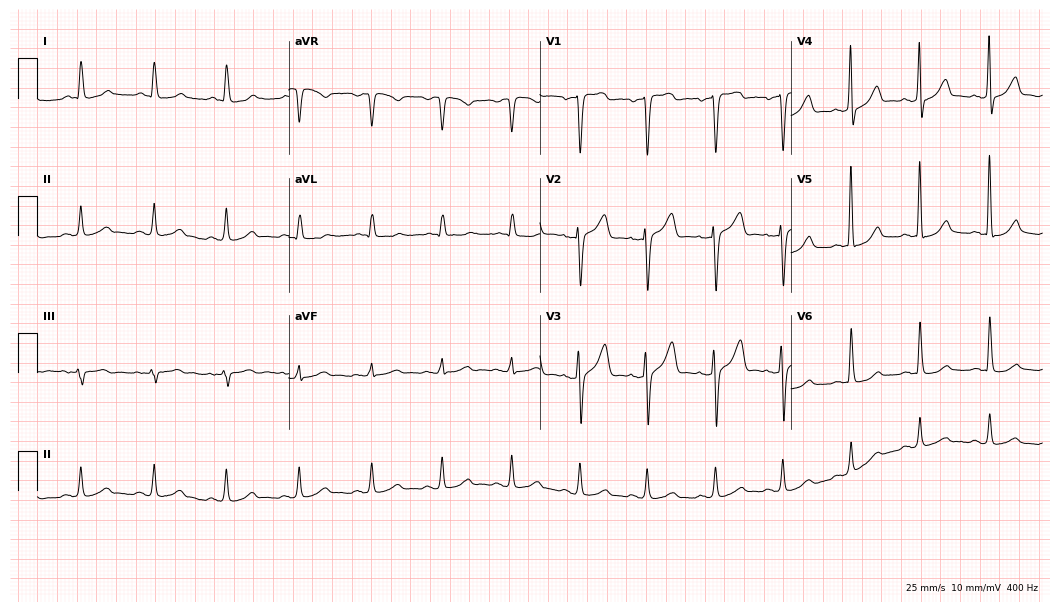
12-lead ECG from a man, 50 years old (10.2-second recording at 400 Hz). No first-degree AV block, right bundle branch block, left bundle branch block, sinus bradycardia, atrial fibrillation or sinus tachycardia recorded for this tracing.